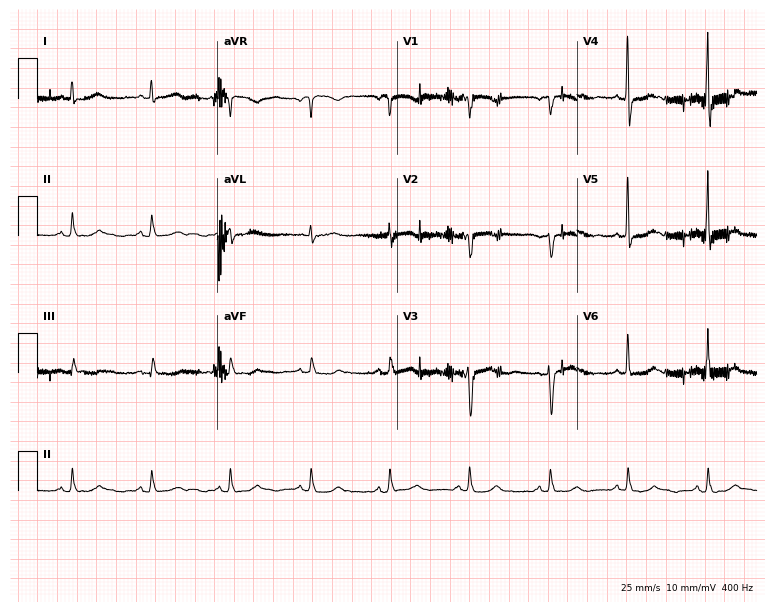
12-lead ECG from a woman, 57 years old. No first-degree AV block, right bundle branch block, left bundle branch block, sinus bradycardia, atrial fibrillation or sinus tachycardia recorded for this tracing. Findings outside these six are not listed.